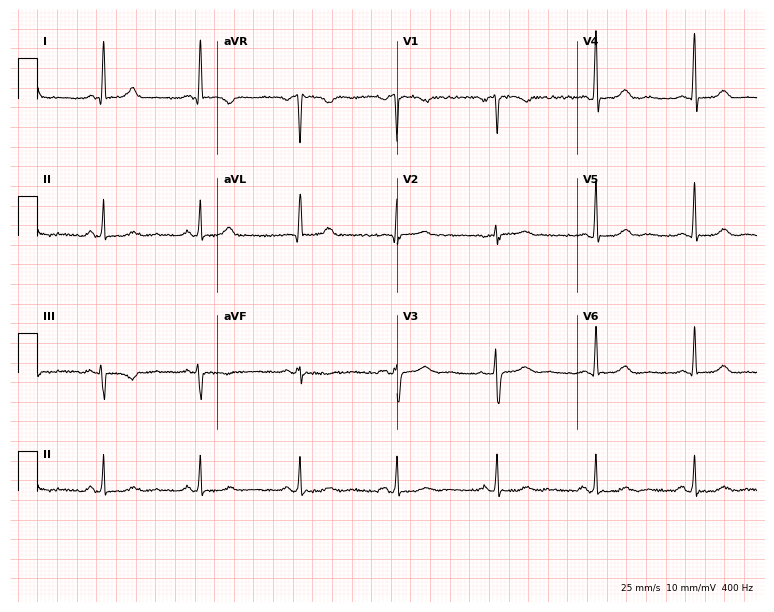
ECG — a woman, 60 years old. Labelled as a normal ECG.